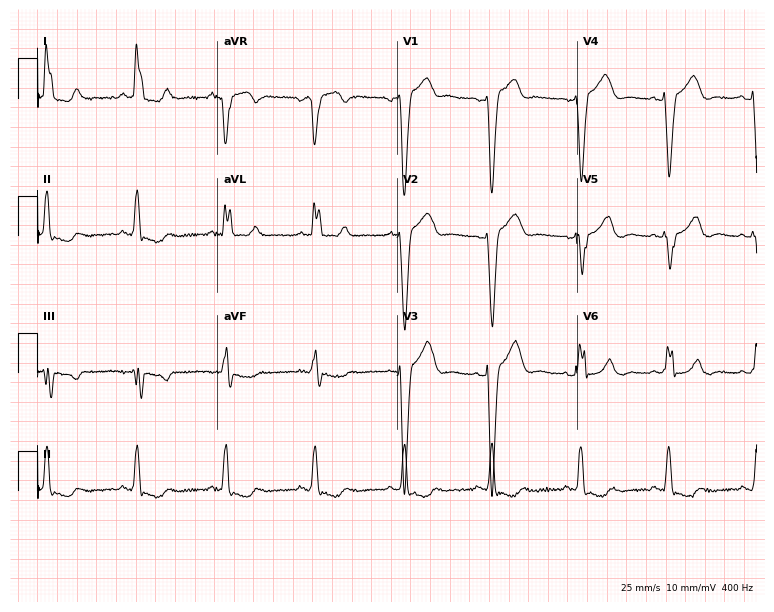
Resting 12-lead electrocardiogram. Patient: a female, 57 years old. The tracing shows left bundle branch block.